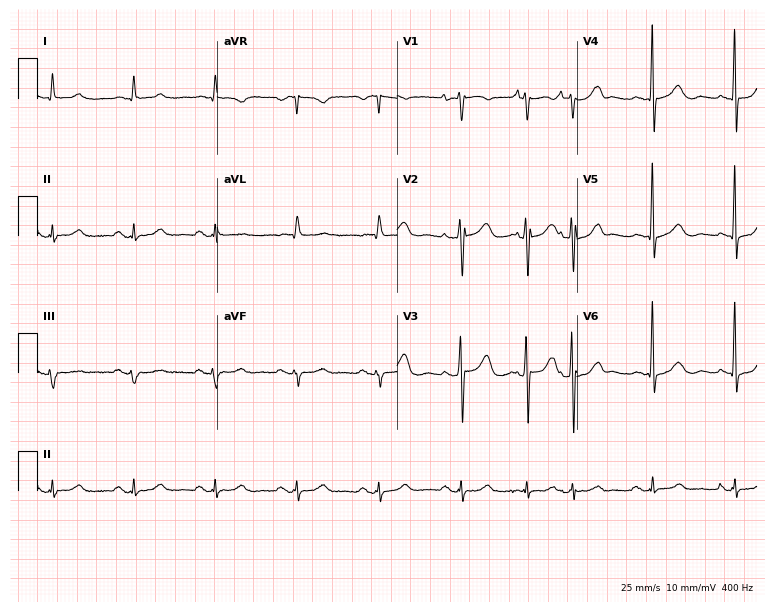
ECG — an 80-year-old female patient. Screened for six findings — first-degree AV block, right bundle branch block (RBBB), left bundle branch block (LBBB), sinus bradycardia, atrial fibrillation (AF), sinus tachycardia — none is recorded. Only these six findings were labelled.